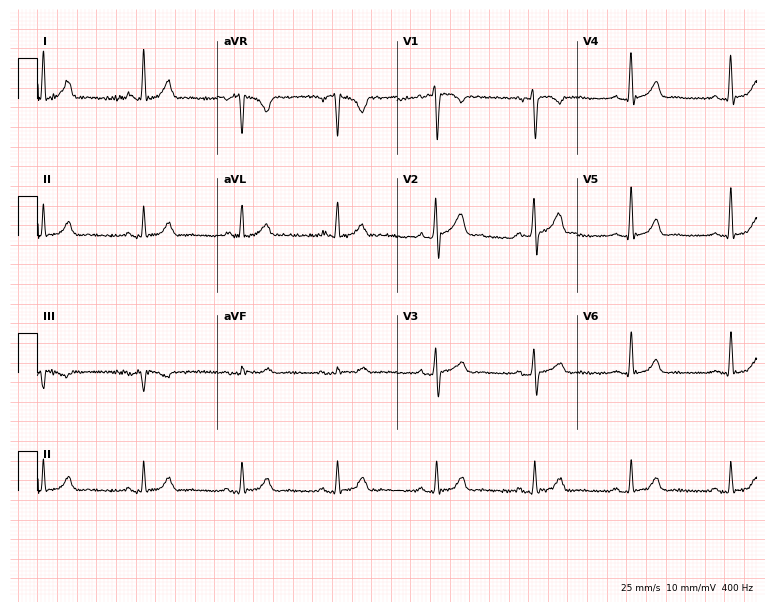
12-lead ECG (7.3-second recording at 400 Hz) from a 32-year-old man. Labelled as a normal ECG.